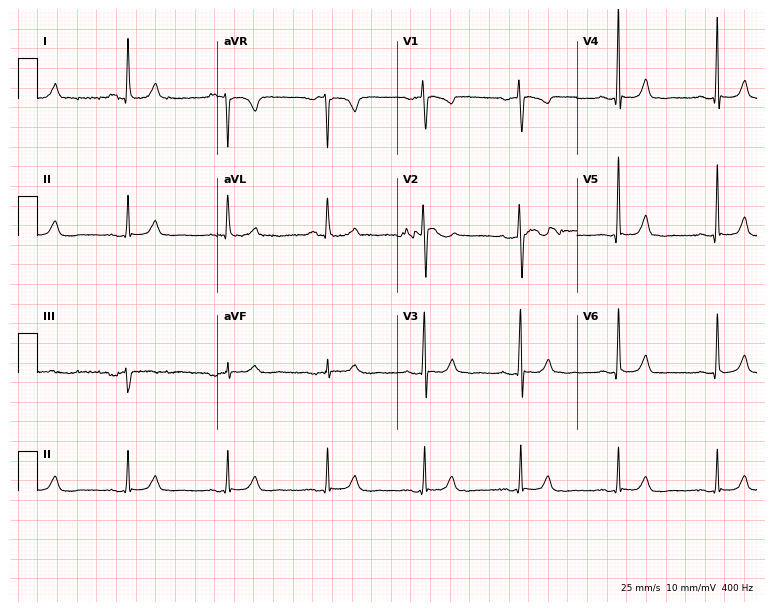
12-lead ECG from a female patient, 70 years old (7.3-second recording at 400 Hz). Recorded interpretation: within normal limits.